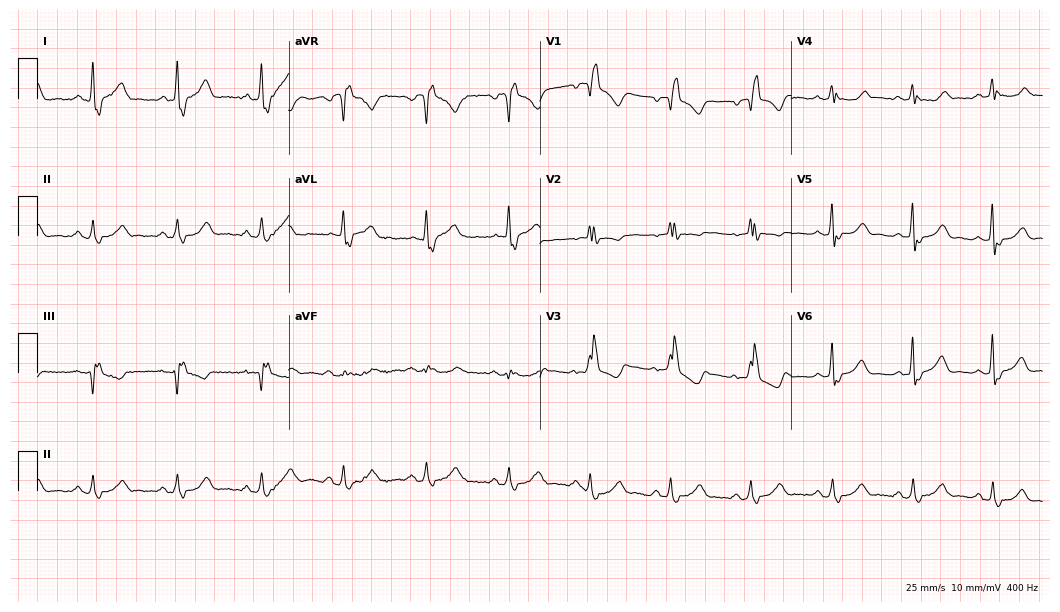
Standard 12-lead ECG recorded from a female, 58 years old. The tracing shows right bundle branch block.